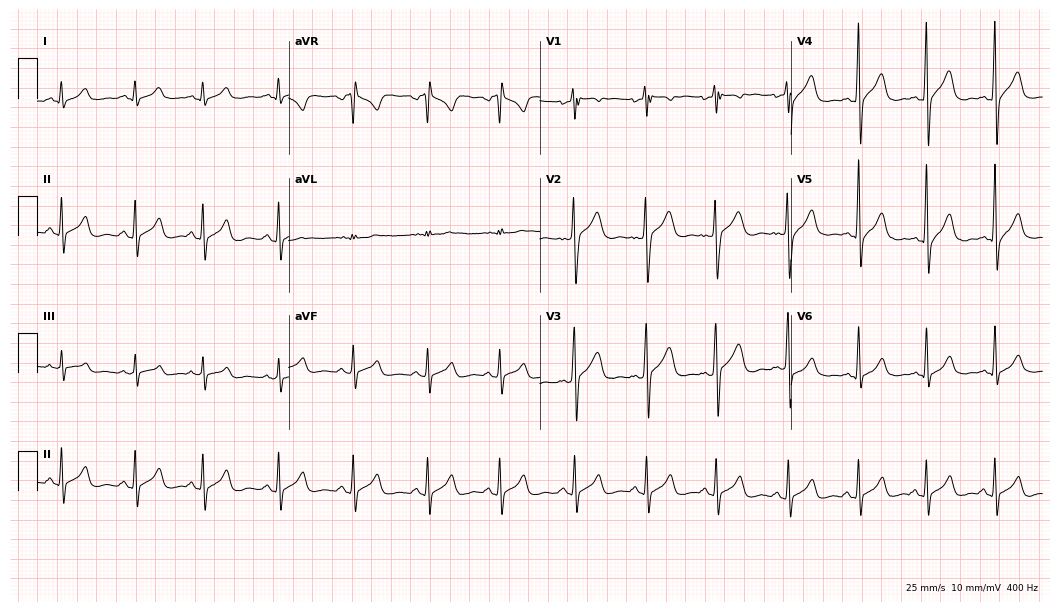
12-lead ECG from a 32-year-old man. Screened for six findings — first-degree AV block, right bundle branch block, left bundle branch block, sinus bradycardia, atrial fibrillation, sinus tachycardia — none is recorded.